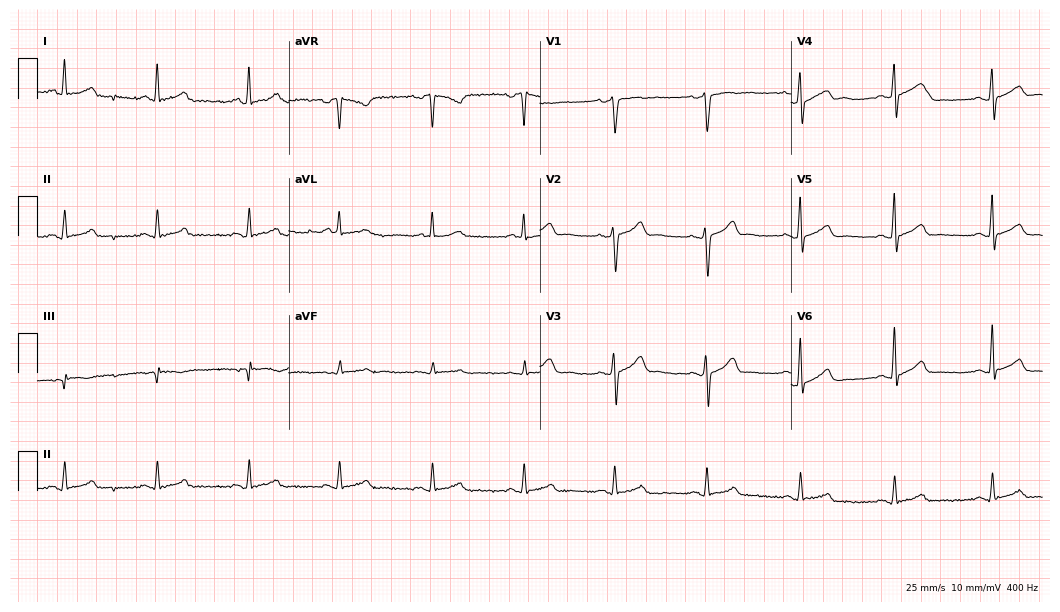
12-lead ECG from a 49-year-old male patient (10.2-second recording at 400 Hz). No first-degree AV block, right bundle branch block, left bundle branch block, sinus bradycardia, atrial fibrillation or sinus tachycardia recorded for this tracing. Only these six findings were labelled.